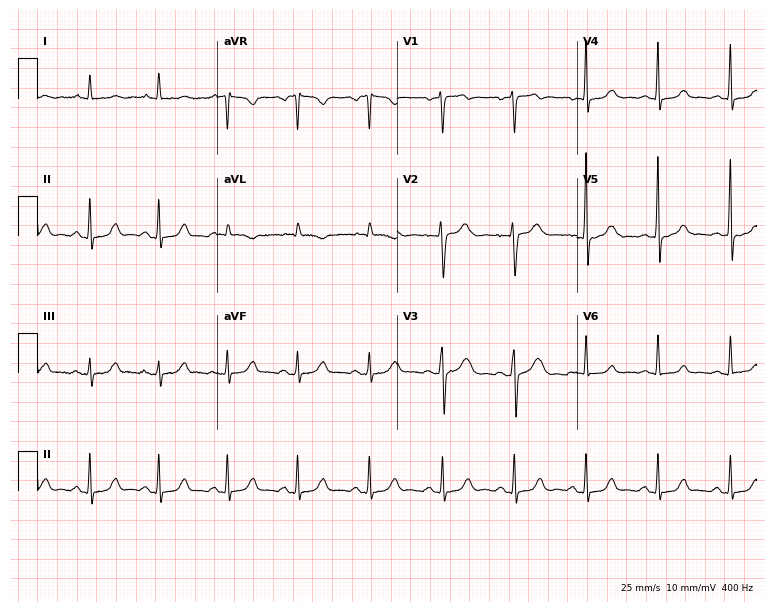
12-lead ECG from a 48-year-old woman (7.3-second recording at 400 Hz). No first-degree AV block, right bundle branch block (RBBB), left bundle branch block (LBBB), sinus bradycardia, atrial fibrillation (AF) or sinus tachycardia recorded for this tracing.